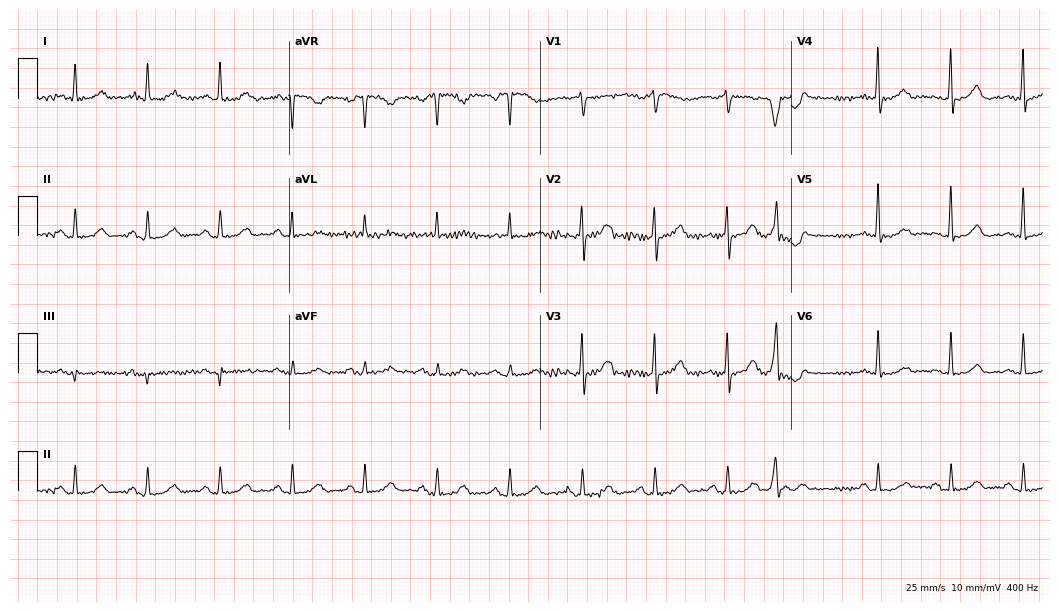
Resting 12-lead electrocardiogram. Patient: a 74-year-old female. Read as a normal ECG.